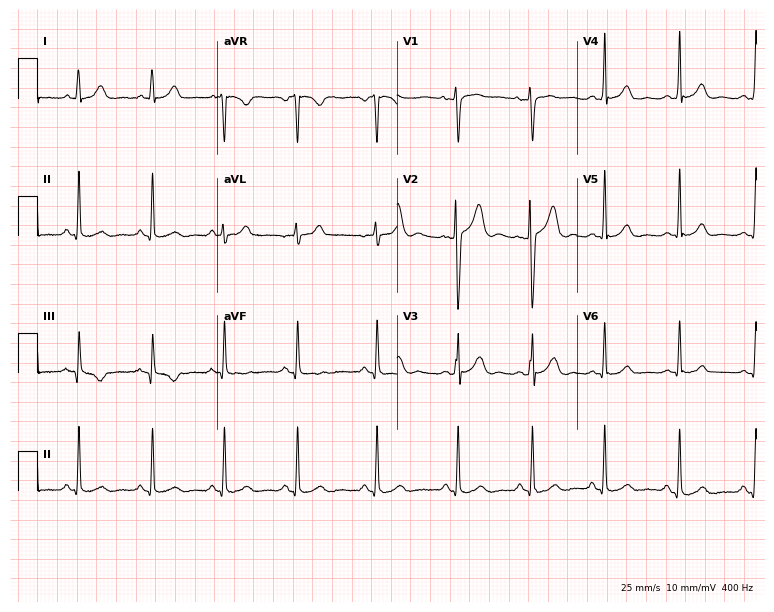
Resting 12-lead electrocardiogram. Patient: a female, 18 years old. None of these six findings is recorded: first-degree AV block, right bundle branch block, left bundle branch block, sinus bradycardia, atrial fibrillation, sinus tachycardia.